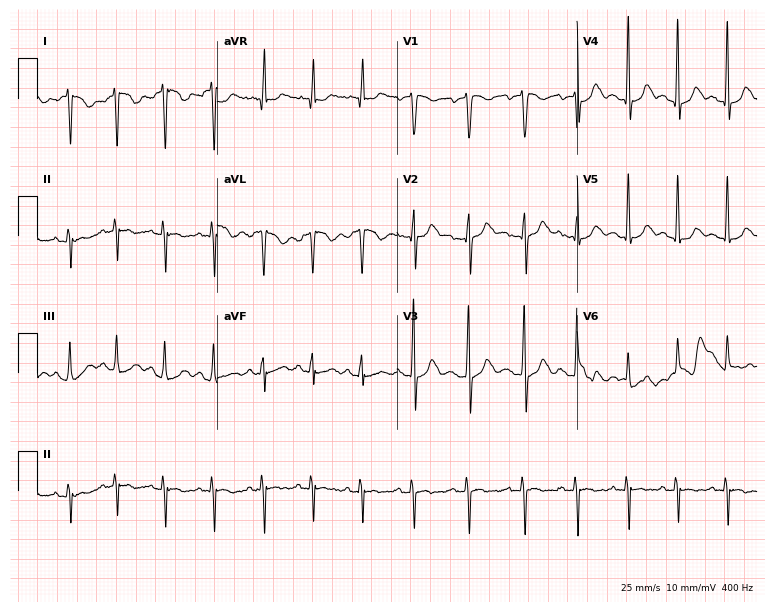
12-lead ECG from a woman, 31 years old. No first-degree AV block, right bundle branch block, left bundle branch block, sinus bradycardia, atrial fibrillation or sinus tachycardia recorded for this tracing. Other findings, if any, are not listed.